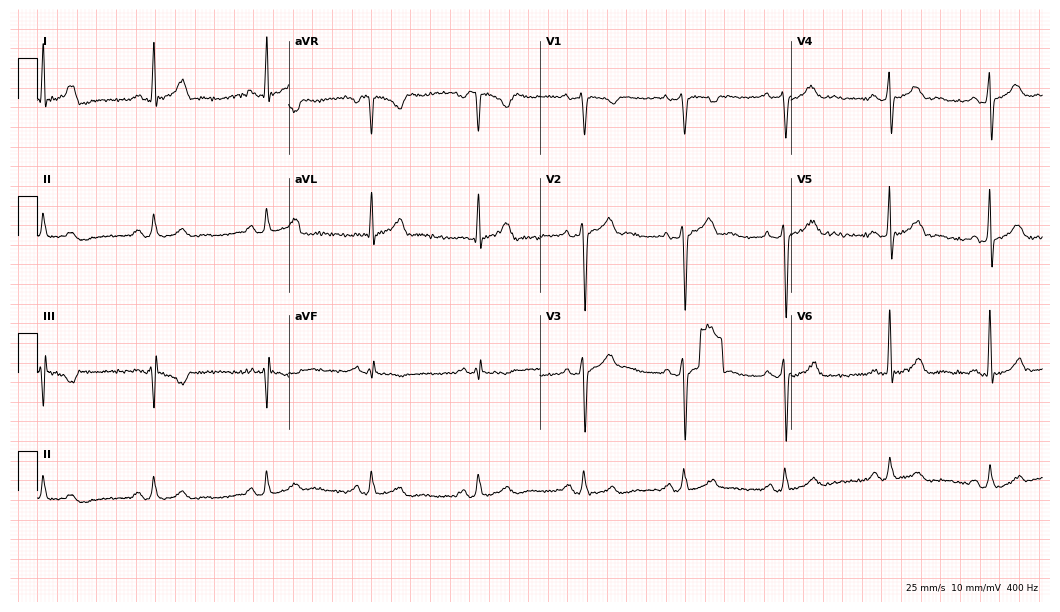
ECG (10.2-second recording at 400 Hz) — a 27-year-old male patient. Labelled as a normal ECG.